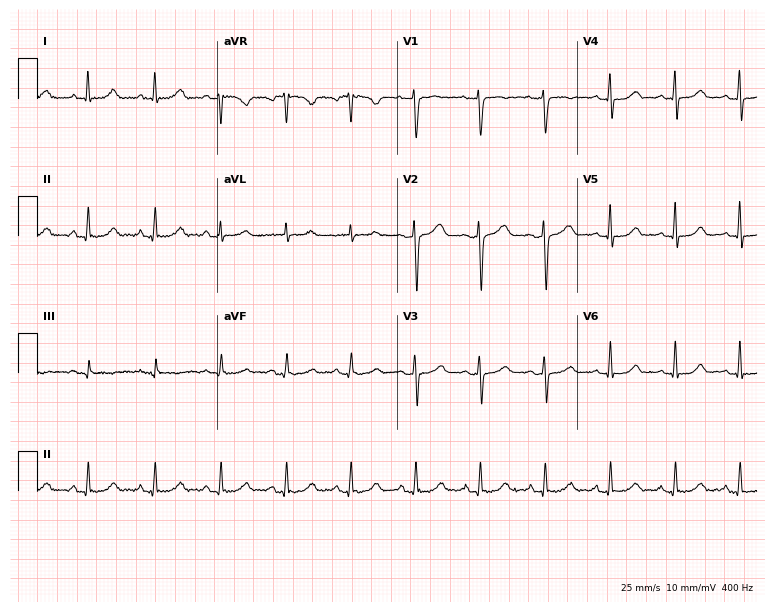
ECG (7.3-second recording at 400 Hz) — a woman, 45 years old. Labelled as a normal ECG.